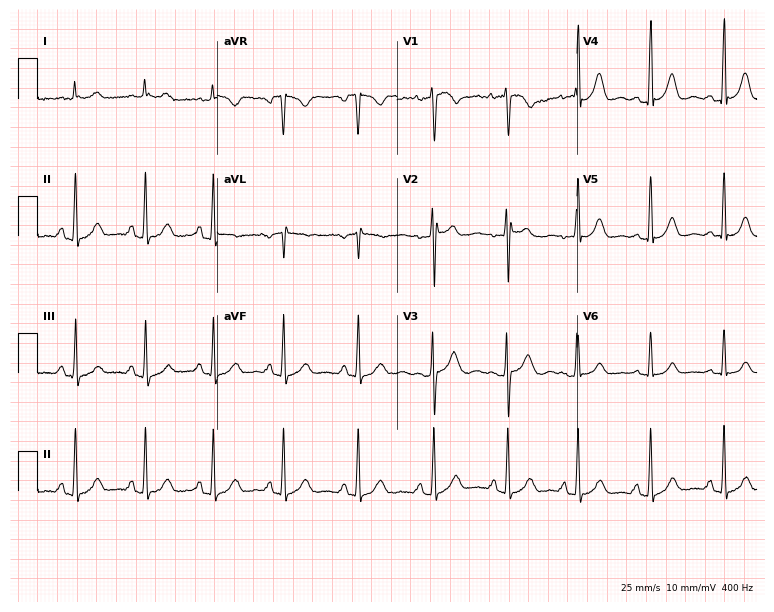
ECG — a female patient, 25 years old. Screened for six findings — first-degree AV block, right bundle branch block, left bundle branch block, sinus bradycardia, atrial fibrillation, sinus tachycardia — none is recorded.